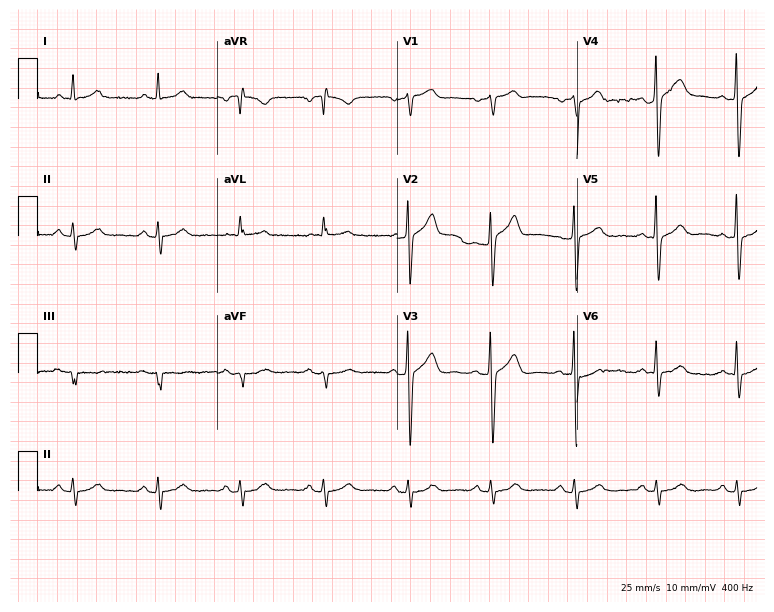
Electrocardiogram, a 62-year-old male. Of the six screened findings (first-degree AV block, right bundle branch block, left bundle branch block, sinus bradycardia, atrial fibrillation, sinus tachycardia), none is recorded.